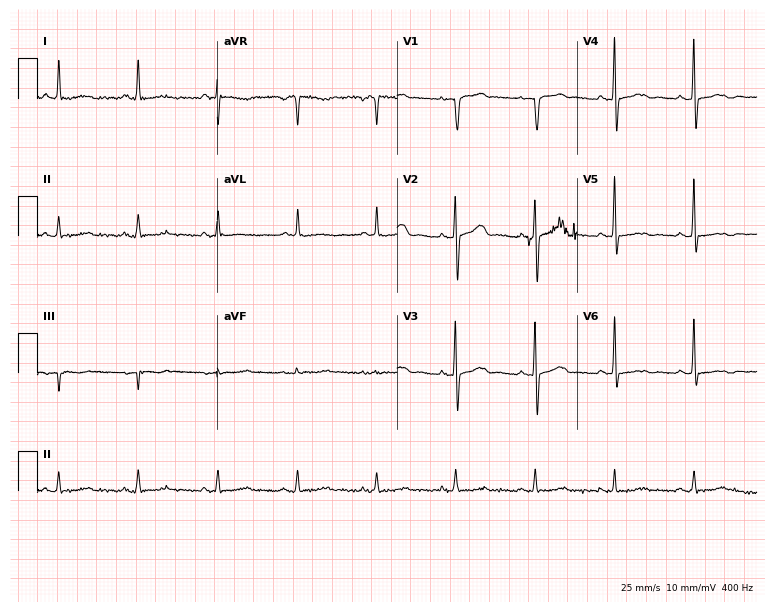
ECG — an 83-year-old woman. Screened for six findings — first-degree AV block, right bundle branch block, left bundle branch block, sinus bradycardia, atrial fibrillation, sinus tachycardia — none is recorded. Only these six findings were labelled.